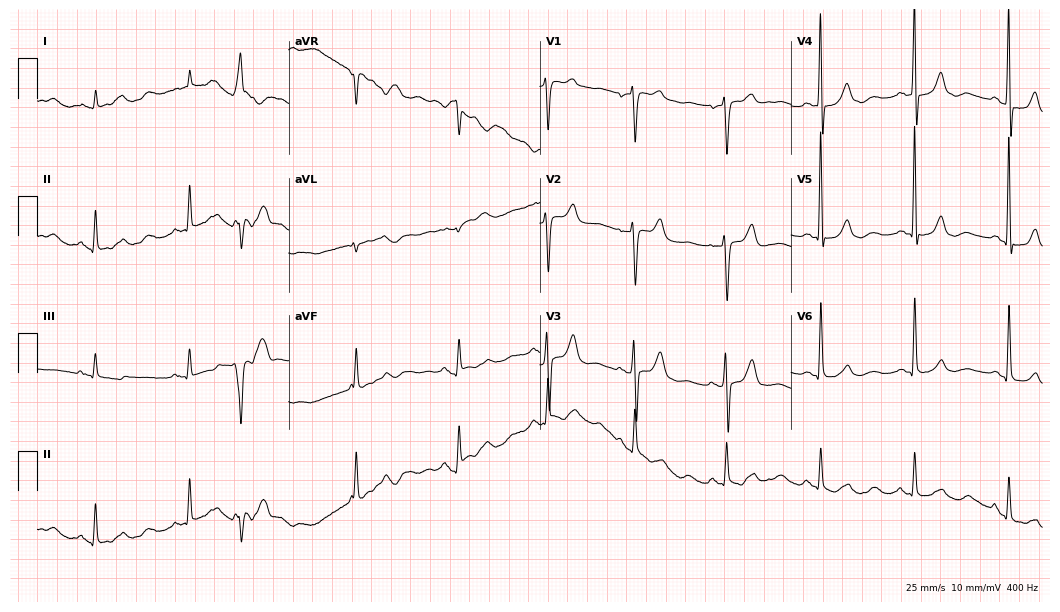
Resting 12-lead electrocardiogram (10.2-second recording at 400 Hz). Patient: a 61-year-old male. None of these six findings is recorded: first-degree AV block, right bundle branch block, left bundle branch block, sinus bradycardia, atrial fibrillation, sinus tachycardia. Only these six findings were labelled.